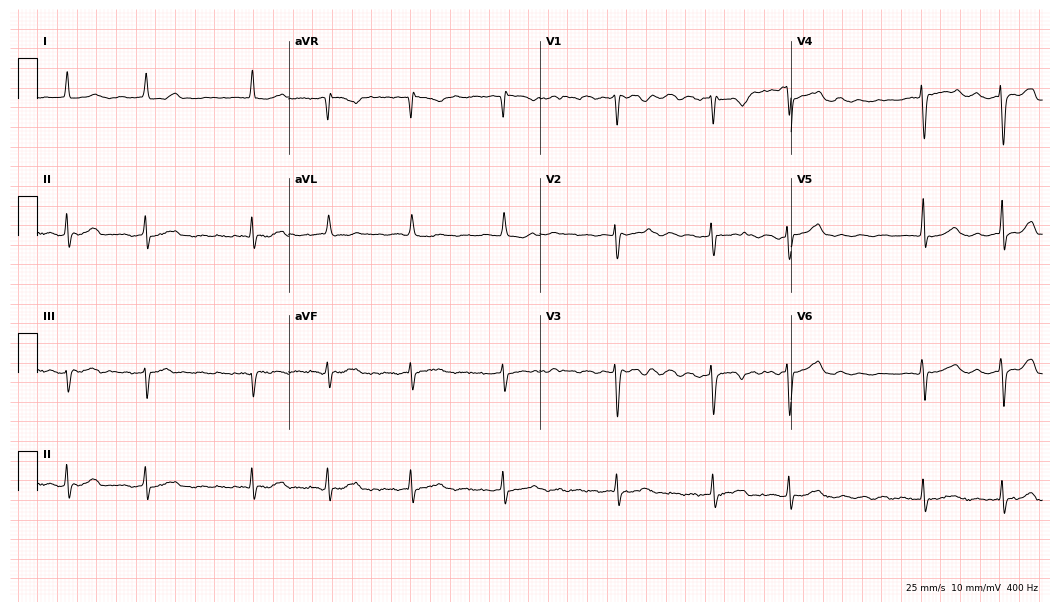
12-lead ECG from a male, 40 years old (10.2-second recording at 400 Hz). Shows atrial fibrillation.